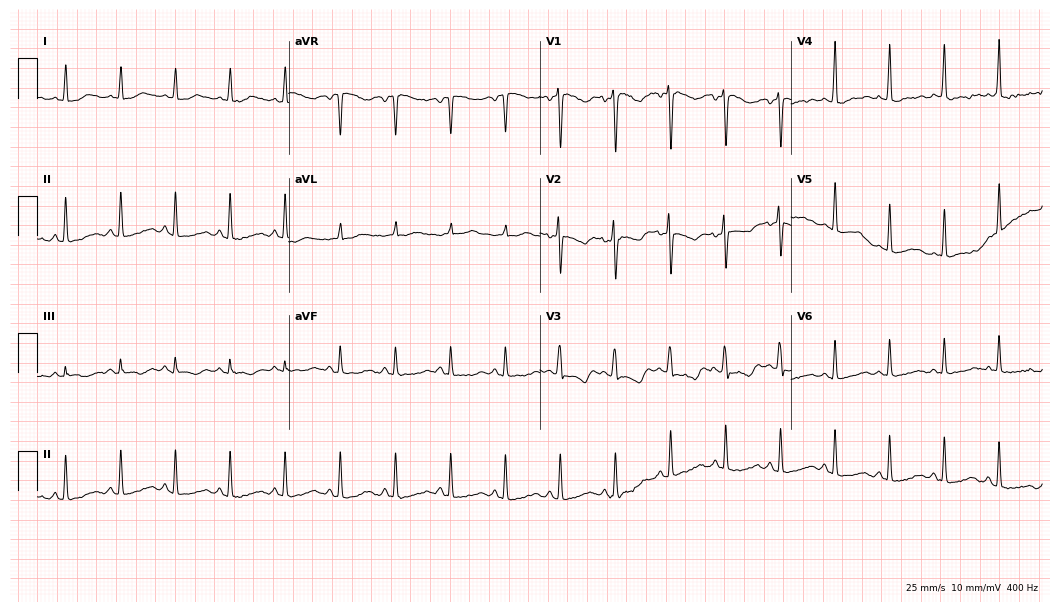
12-lead ECG (10.2-second recording at 400 Hz) from a 23-year-old female. Findings include sinus tachycardia (a sinus rate of 100 beats per minute or more).